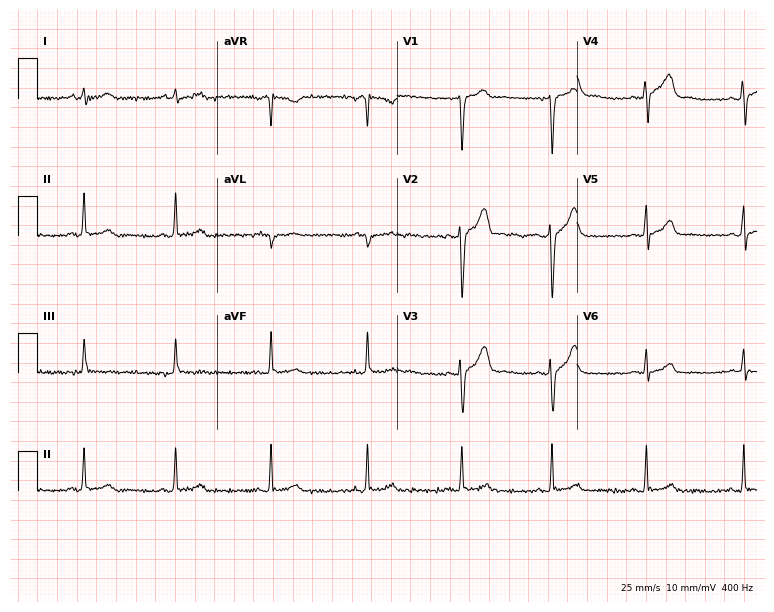
Resting 12-lead electrocardiogram. Patient: a male, 22 years old. None of these six findings is recorded: first-degree AV block, right bundle branch block, left bundle branch block, sinus bradycardia, atrial fibrillation, sinus tachycardia.